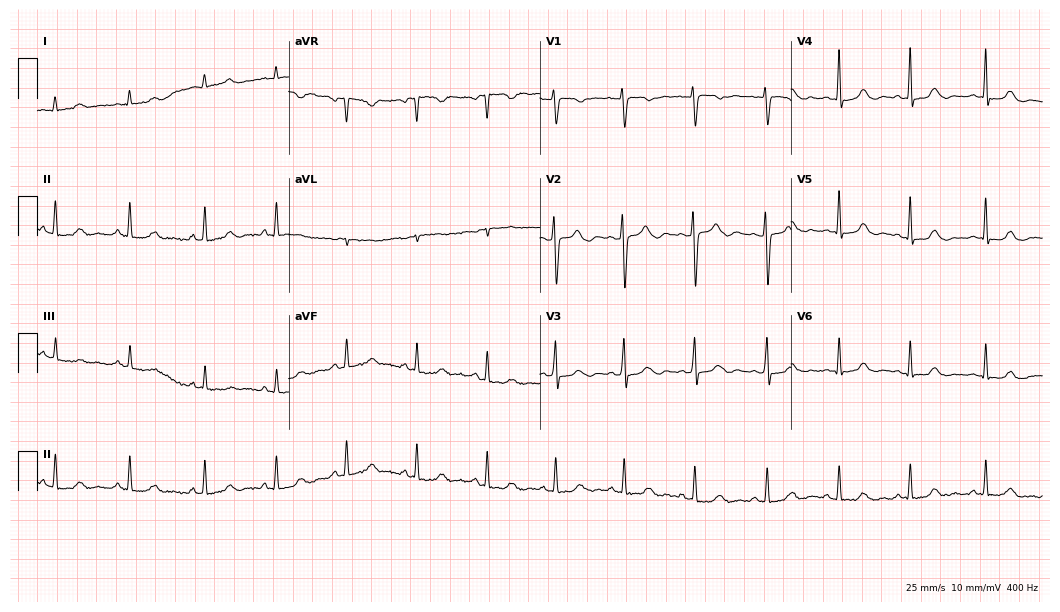
Electrocardiogram, a female, 41 years old. Overall reading on record: normal ECG.